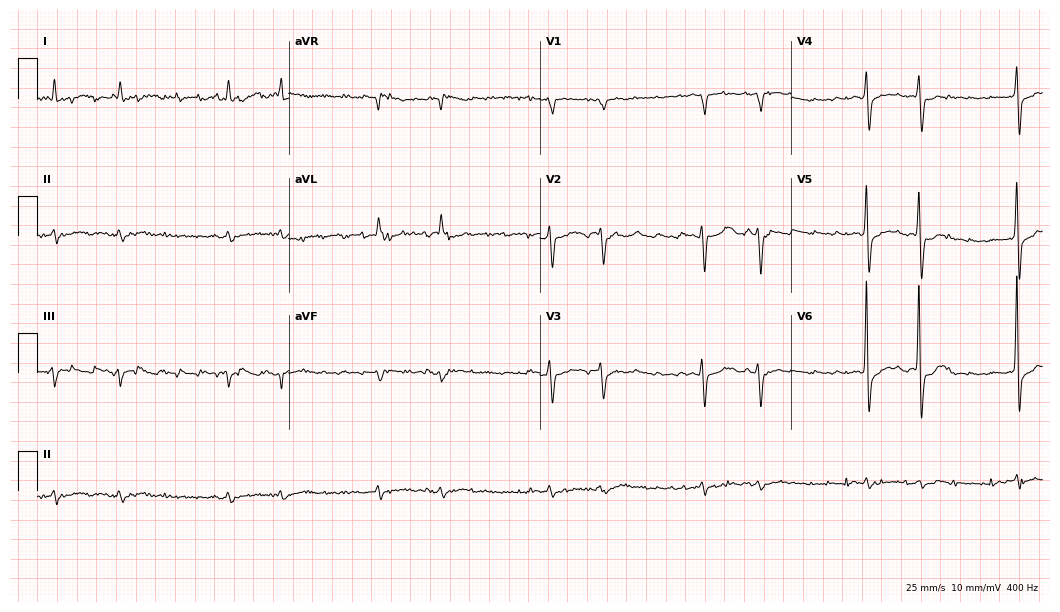
Standard 12-lead ECG recorded from an 83-year-old man. The tracing shows atrial fibrillation.